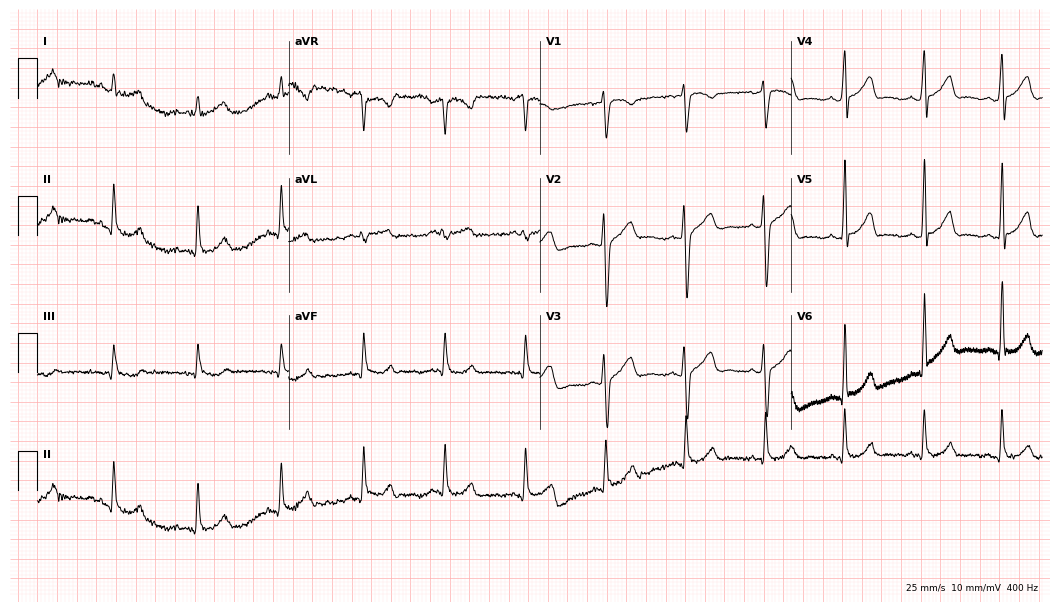
ECG — a 31-year-old man. Labelled as a normal ECG.